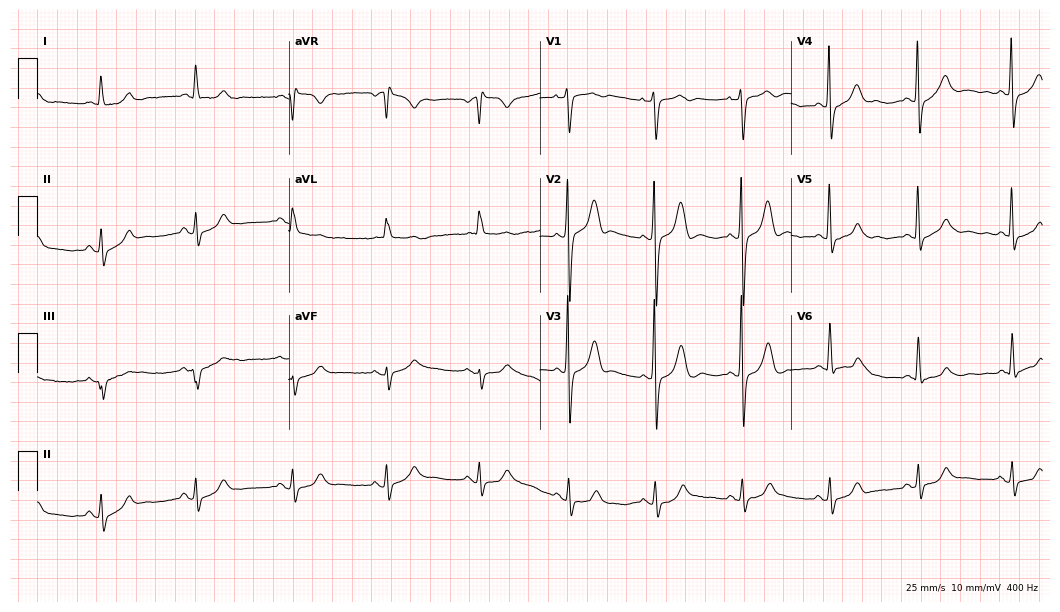
12-lead ECG from a male, 55 years old (10.2-second recording at 400 Hz). Recorded interpretation: within normal limits.